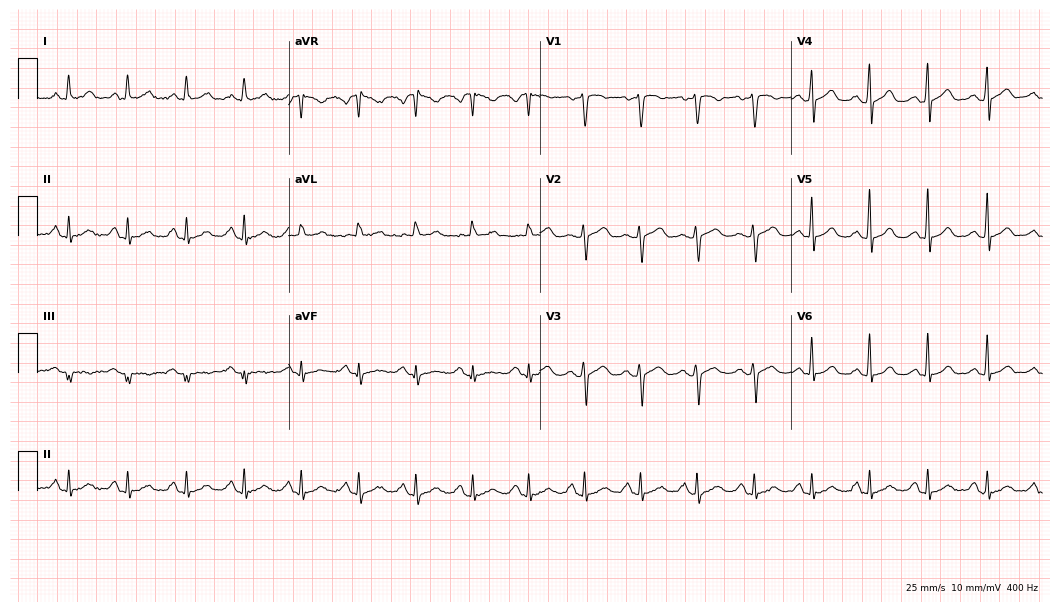
ECG (10.2-second recording at 400 Hz) — a female, 43 years old. Labelled as a normal ECG.